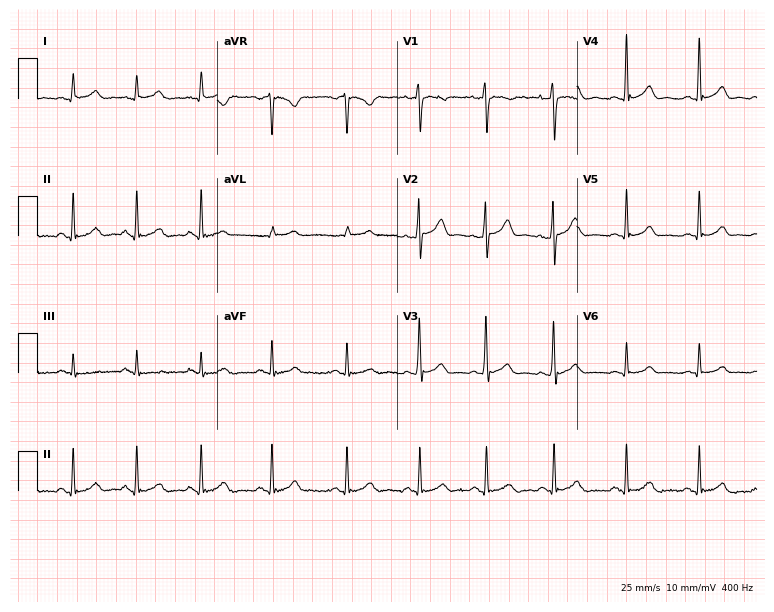
12-lead ECG (7.3-second recording at 400 Hz) from a 23-year-old male patient. Labelled as a normal ECG.